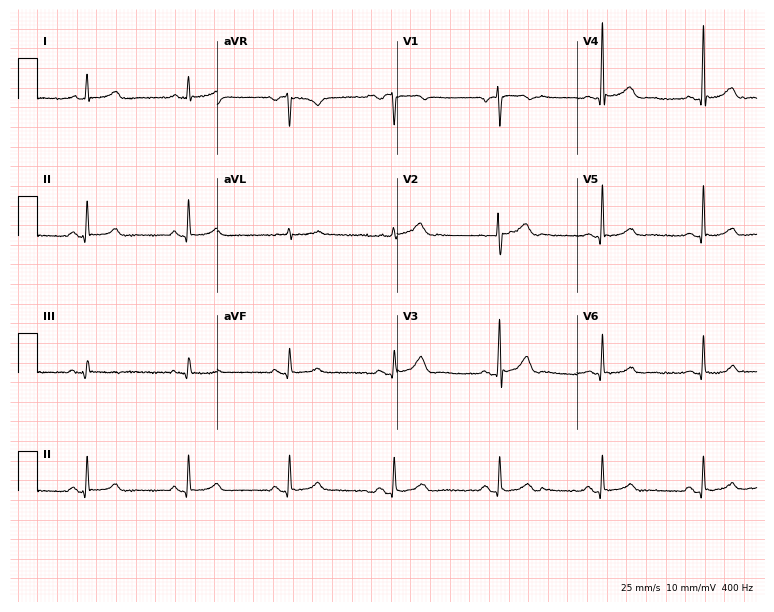
Standard 12-lead ECG recorded from a 37-year-old man (7.3-second recording at 400 Hz). None of these six findings is recorded: first-degree AV block, right bundle branch block (RBBB), left bundle branch block (LBBB), sinus bradycardia, atrial fibrillation (AF), sinus tachycardia.